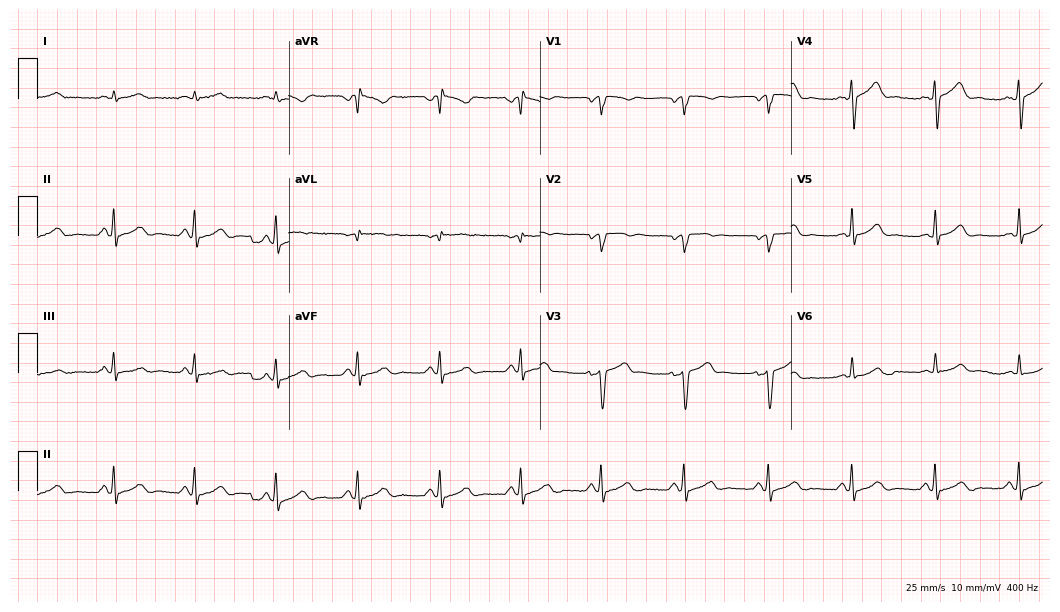
Resting 12-lead electrocardiogram. Patient: a male, 64 years old. None of these six findings is recorded: first-degree AV block, right bundle branch block (RBBB), left bundle branch block (LBBB), sinus bradycardia, atrial fibrillation (AF), sinus tachycardia.